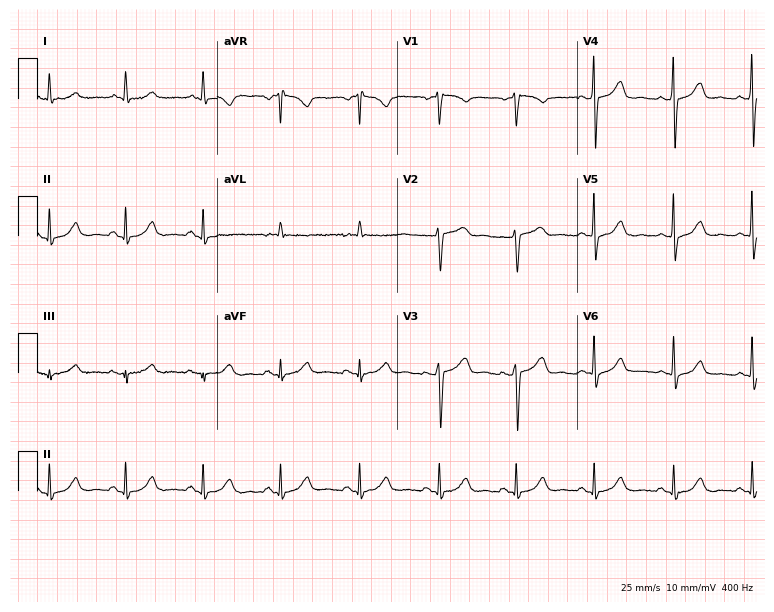
Electrocardiogram, a male patient, 64 years old. Of the six screened findings (first-degree AV block, right bundle branch block, left bundle branch block, sinus bradycardia, atrial fibrillation, sinus tachycardia), none is recorded.